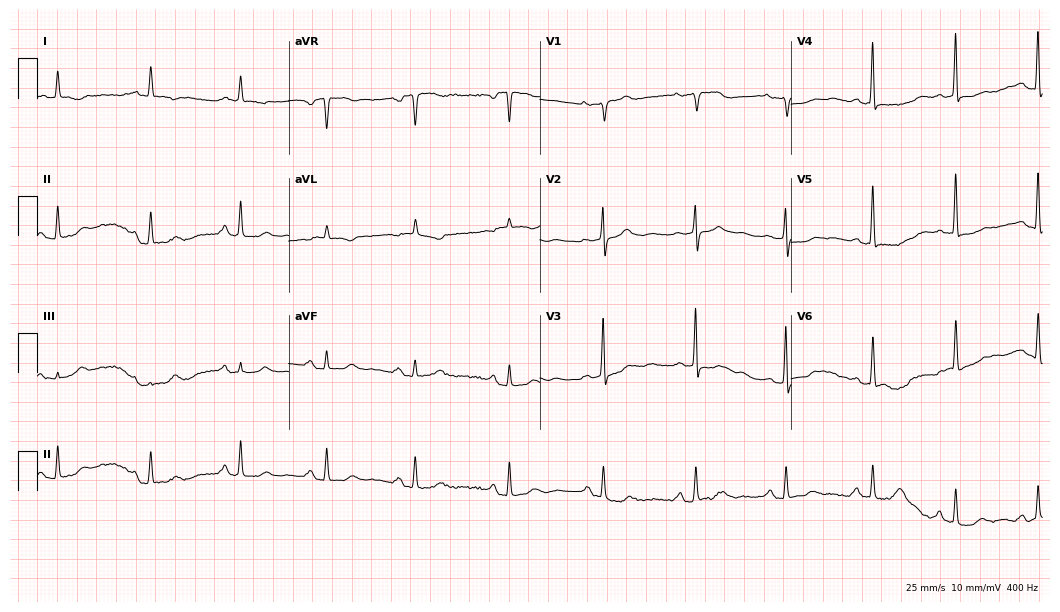
ECG (10.2-second recording at 400 Hz) — a female patient, 84 years old. Screened for six findings — first-degree AV block, right bundle branch block (RBBB), left bundle branch block (LBBB), sinus bradycardia, atrial fibrillation (AF), sinus tachycardia — none is recorded.